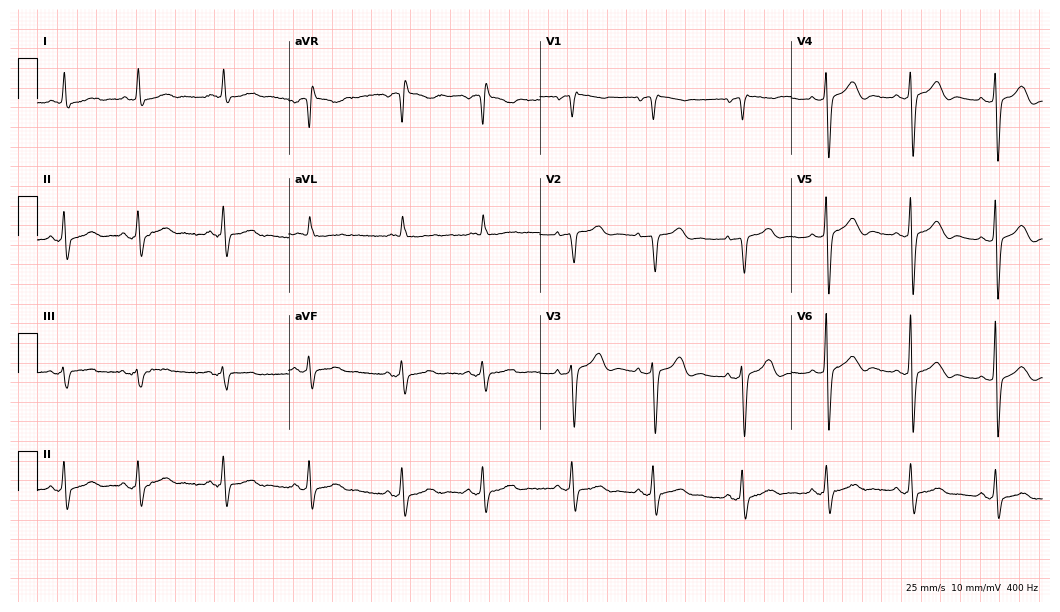
12-lead ECG from a 76-year-old female (10.2-second recording at 400 Hz). No first-degree AV block, right bundle branch block, left bundle branch block, sinus bradycardia, atrial fibrillation or sinus tachycardia recorded for this tracing.